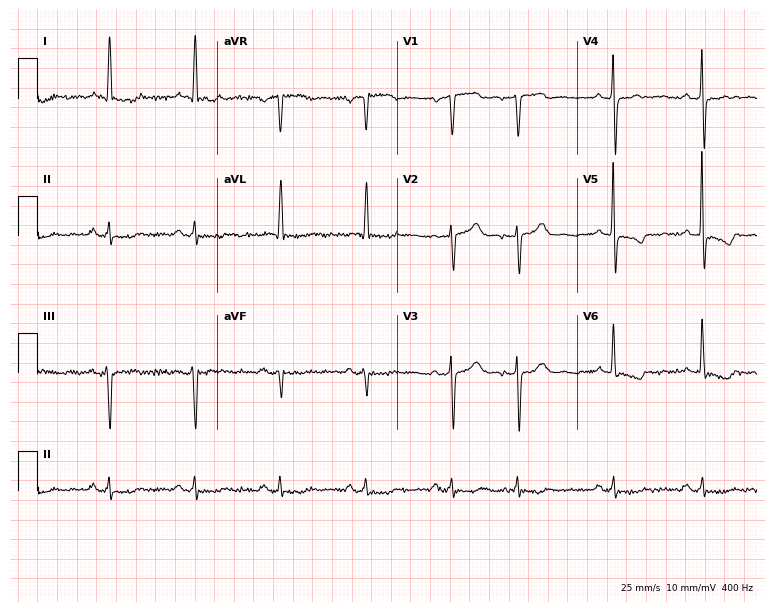
ECG (7.3-second recording at 400 Hz) — a male, 61 years old. Screened for six findings — first-degree AV block, right bundle branch block (RBBB), left bundle branch block (LBBB), sinus bradycardia, atrial fibrillation (AF), sinus tachycardia — none is recorded.